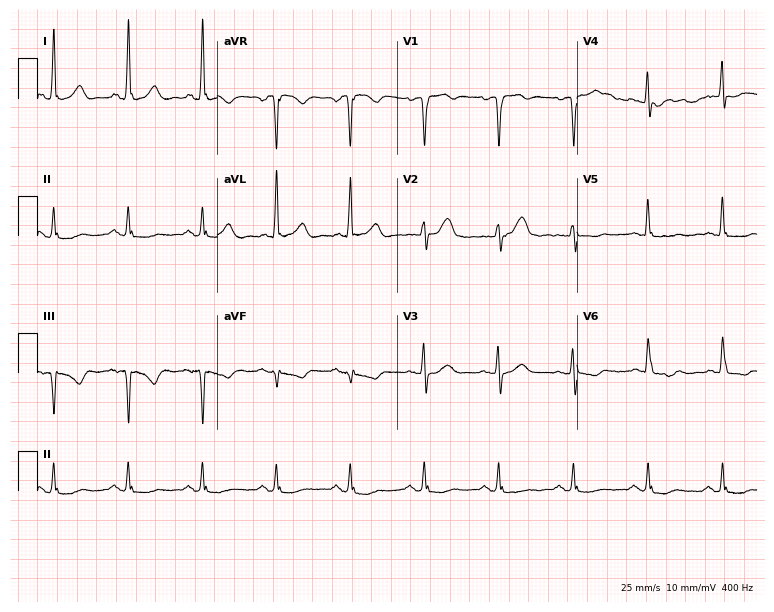
Resting 12-lead electrocardiogram. Patient: a 75-year-old male. None of these six findings is recorded: first-degree AV block, right bundle branch block (RBBB), left bundle branch block (LBBB), sinus bradycardia, atrial fibrillation (AF), sinus tachycardia. Only these six findings were labelled.